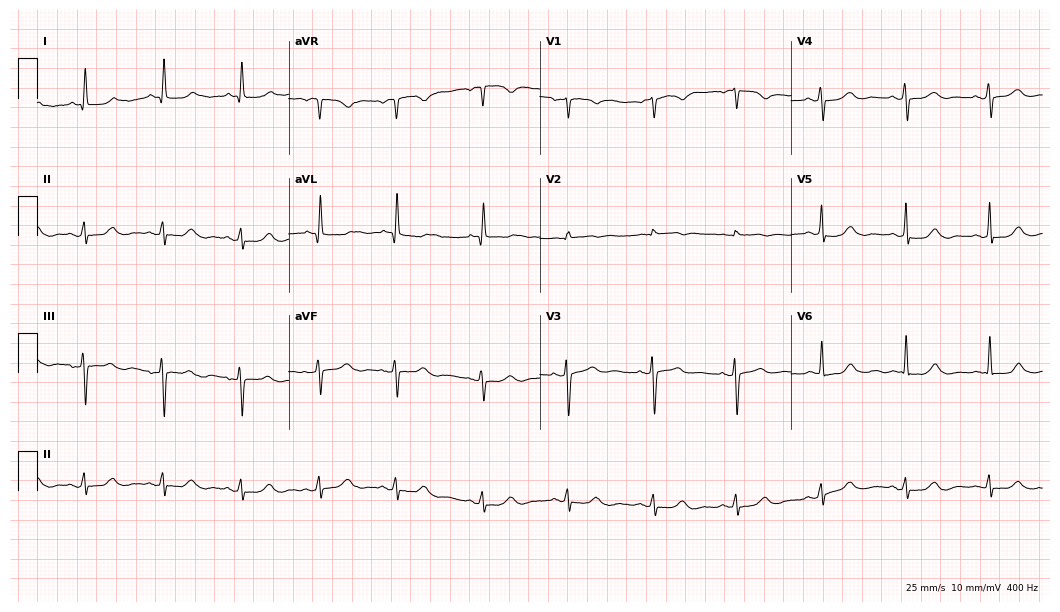
12-lead ECG from a female patient, 69 years old. No first-degree AV block, right bundle branch block, left bundle branch block, sinus bradycardia, atrial fibrillation or sinus tachycardia recorded for this tracing.